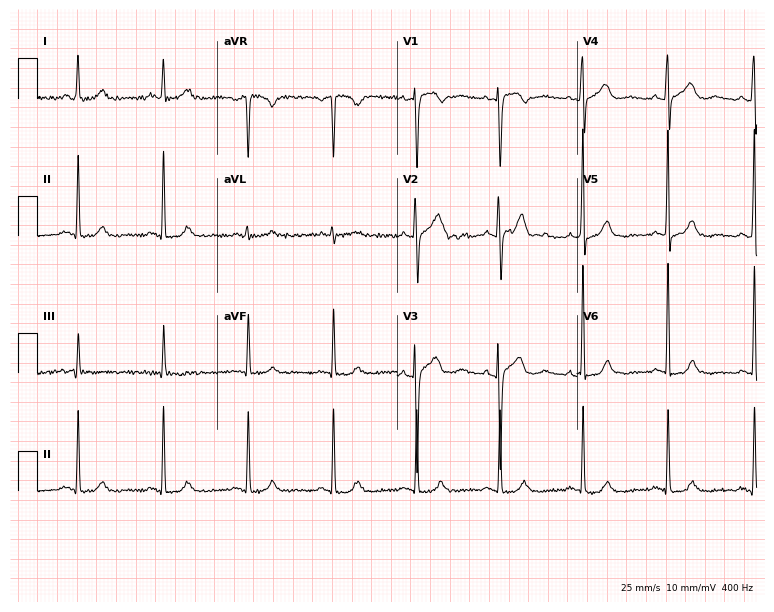
Standard 12-lead ECG recorded from a 58-year-old female (7.3-second recording at 400 Hz). Read as a normal ECG.